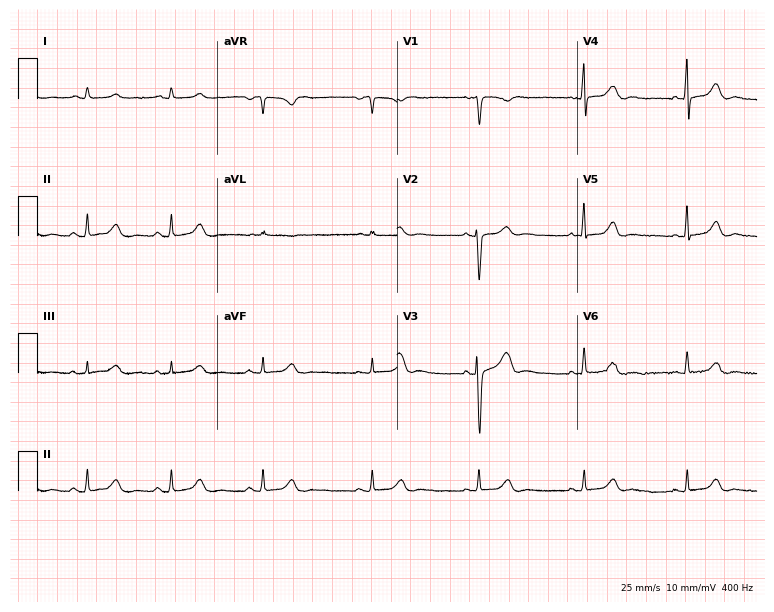
12-lead ECG from a 26-year-old woman. Recorded interpretation: within normal limits.